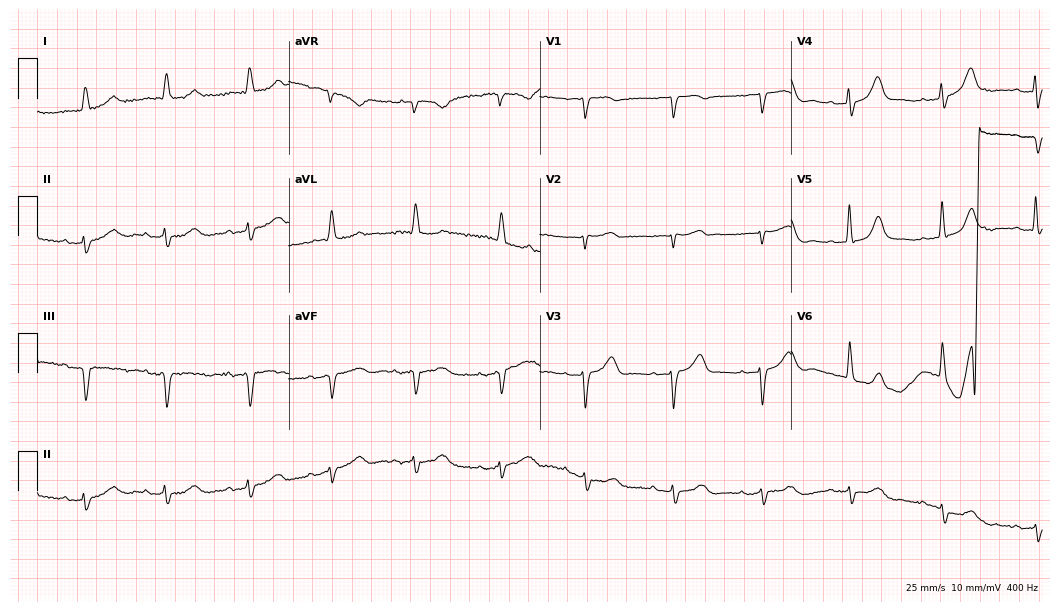
Standard 12-lead ECG recorded from a woman, 82 years old (10.2-second recording at 400 Hz). None of these six findings is recorded: first-degree AV block, right bundle branch block, left bundle branch block, sinus bradycardia, atrial fibrillation, sinus tachycardia.